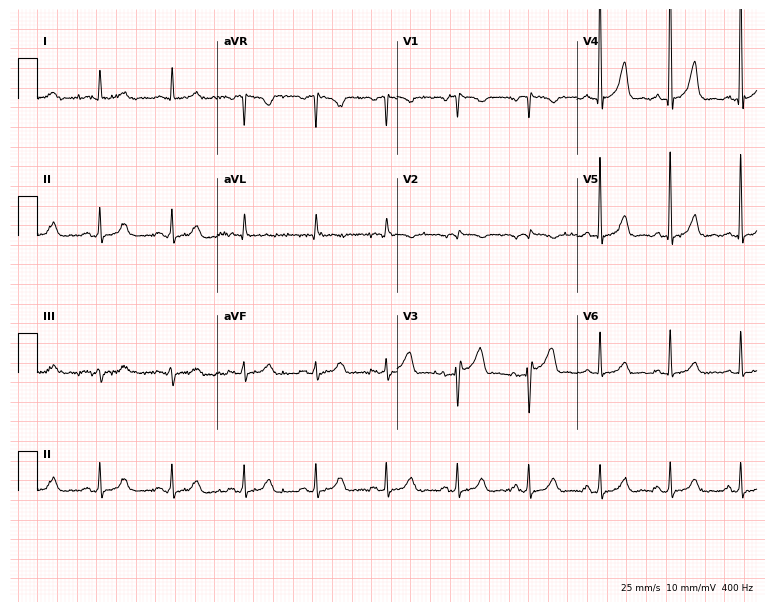
ECG — a woman, 70 years old. Screened for six findings — first-degree AV block, right bundle branch block, left bundle branch block, sinus bradycardia, atrial fibrillation, sinus tachycardia — none is recorded.